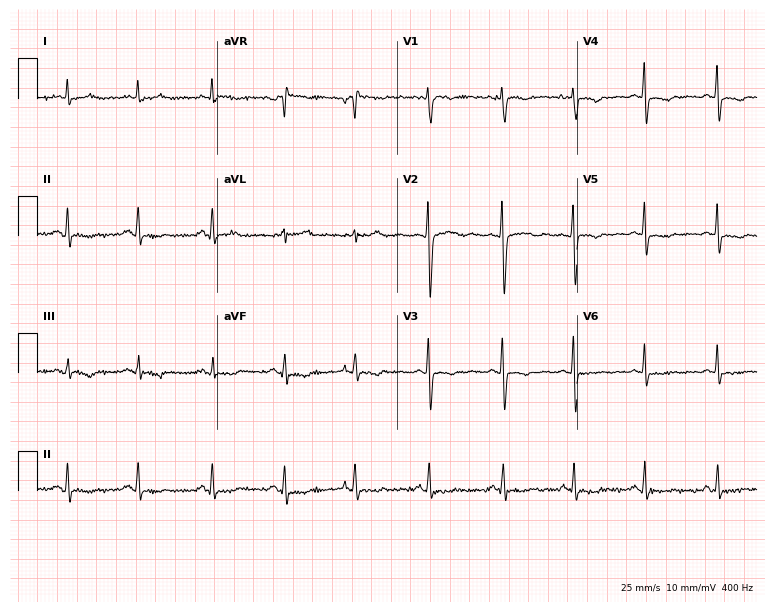
Resting 12-lead electrocardiogram. Patient: a 31-year-old female. None of these six findings is recorded: first-degree AV block, right bundle branch block, left bundle branch block, sinus bradycardia, atrial fibrillation, sinus tachycardia. Other findings, if any, are not listed.